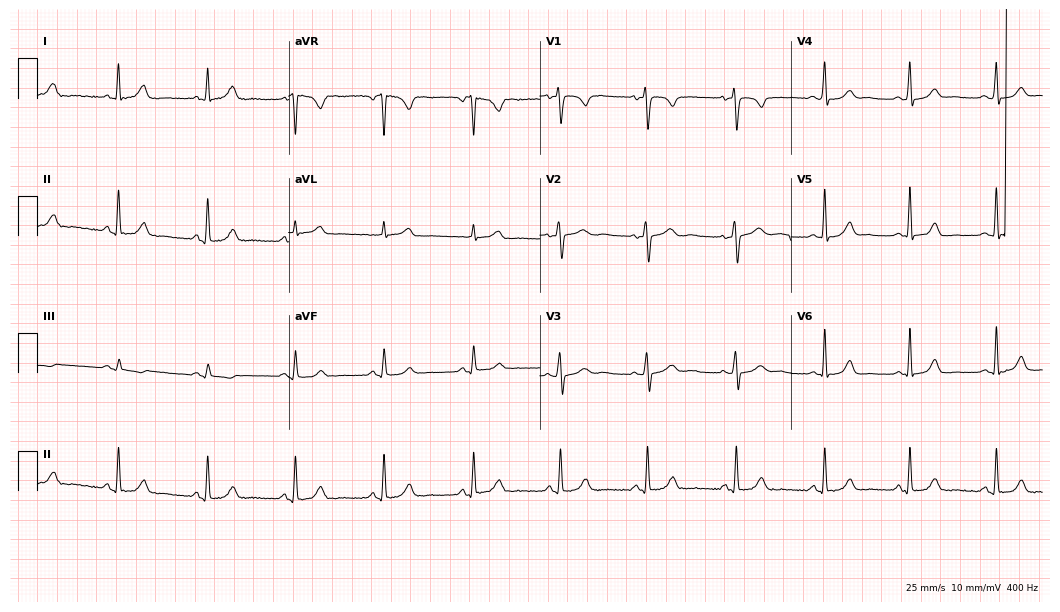
Electrocardiogram (10.2-second recording at 400 Hz), a 34-year-old female. Overall reading on record: normal ECG.